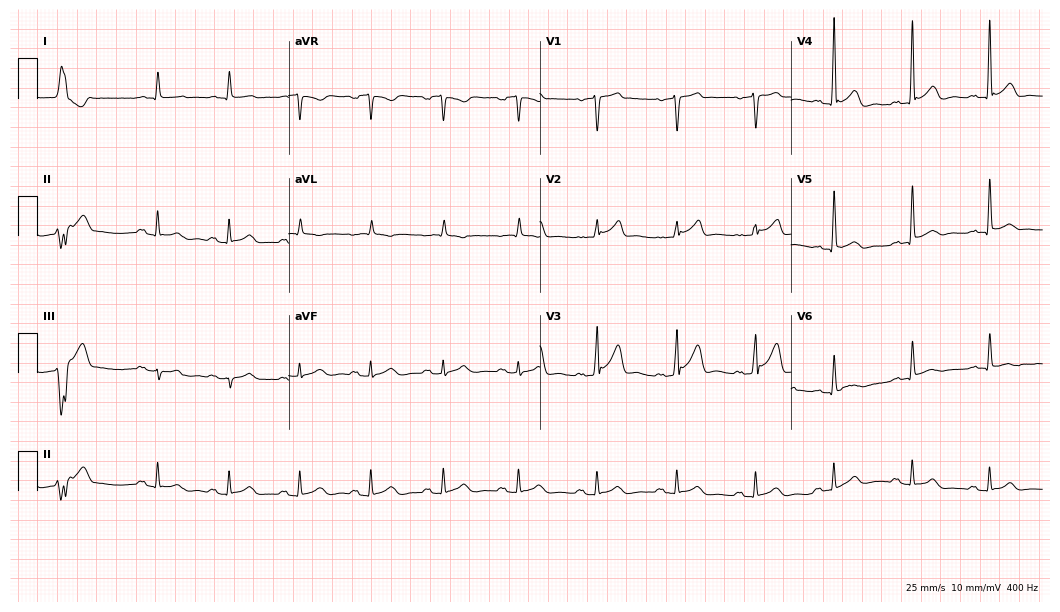
ECG — a 75-year-old male. Screened for six findings — first-degree AV block, right bundle branch block, left bundle branch block, sinus bradycardia, atrial fibrillation, sinus tachycardia — none is recorded.